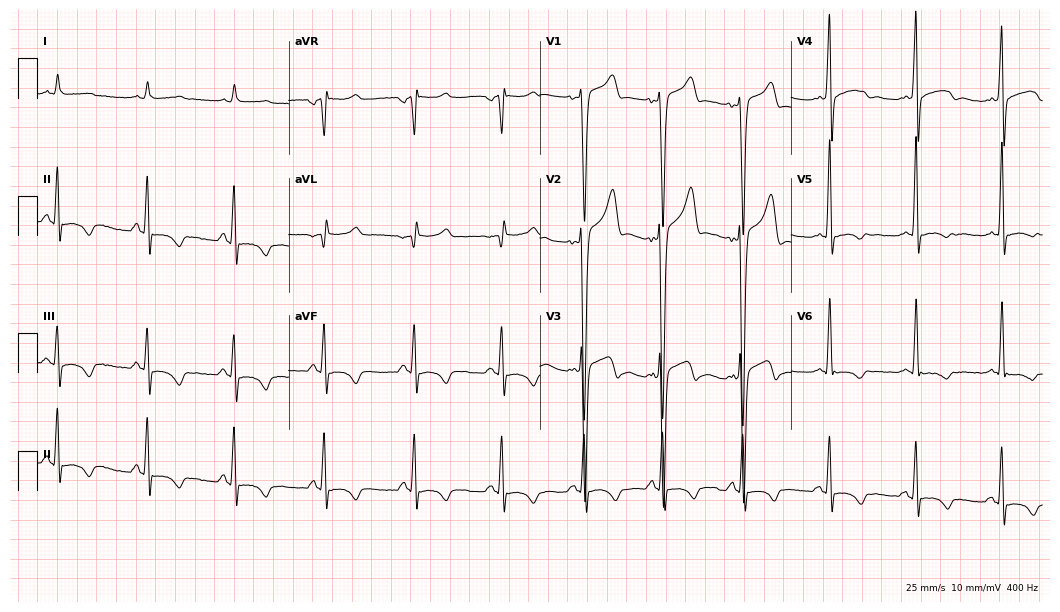
12-lead ECG from a 39-year-old man. Screened for six findings — first-degree AV block, right bundle branch block, left bundle branch block, sinus bradycardia, atrial fibrillation, sinus tachycardia — none is recorded.